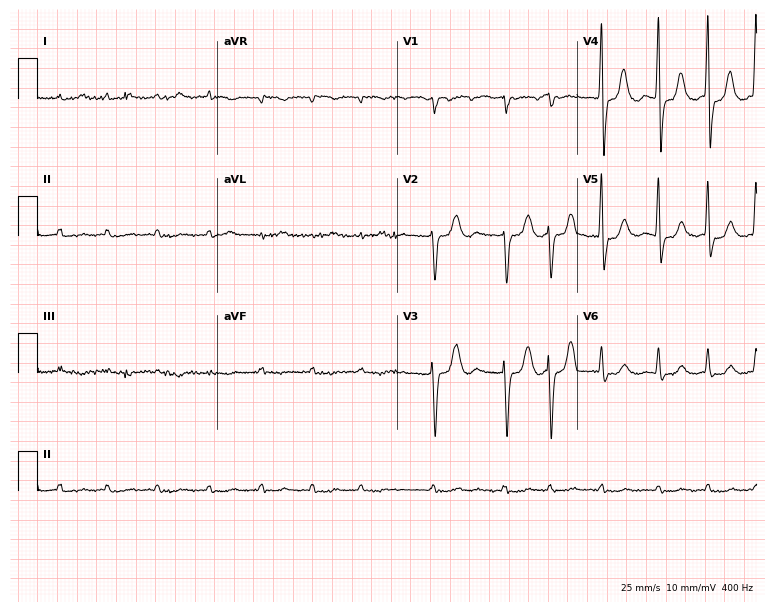
Standard 12-lead ECG recorded from a woman, 79 years old (7.3-second recording at 400 Hz). The tracing shows atrial fibrillation.